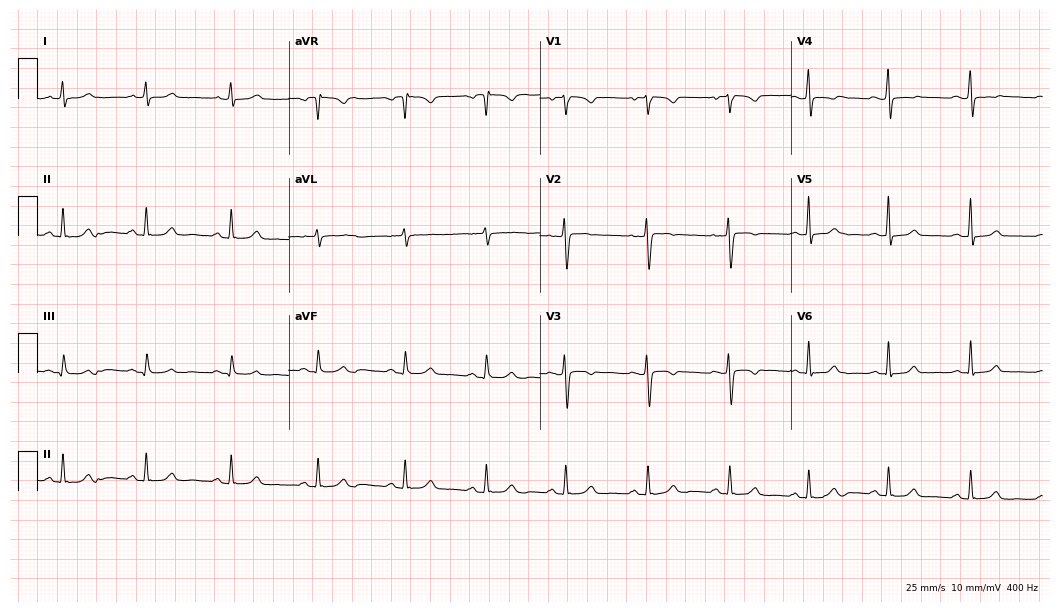
Standard 12-lead ECG recorded from a 19-year-old female (10.2-second recording at 400 Hz). None of these six findings is recorded: first-degree AV block, right bundle branch block (RBBB), left bundle branch block (LBBB), sinus bradycardia, atrial fibrillation (AF), sinus tachycardia.